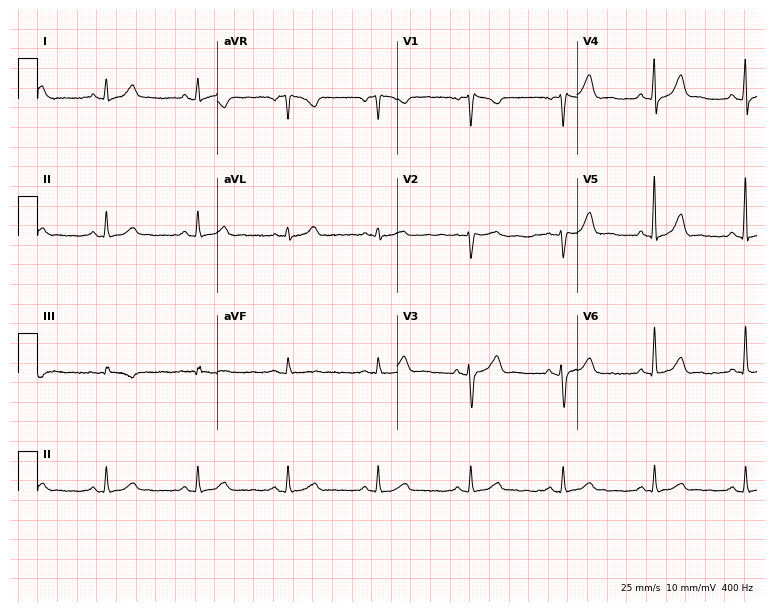
ECG (7.3-second recording at 400 Hz) — a man, 63 years old. Screened for six findings — first-degree AV block, right bundle branch block, left bundle branch block, sinus bradycardia, atrial fibrillation, sinus tachycardia — none is recorded. Other findings, if any, are not listed.